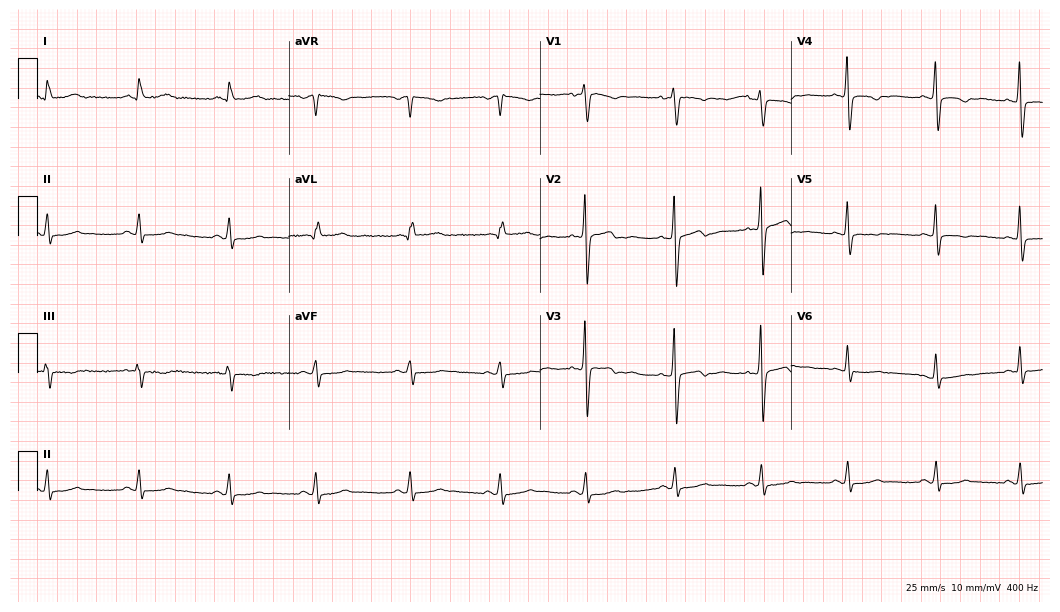
ECG — a woman, 40 years old. Screened for six findings — first-degree AV block, right bundle branch block (RBBB), left bundle branch block (LBBB), sinus bradycardia, atrial fibrillation (AF), sinus tachycardia — none is recorded.